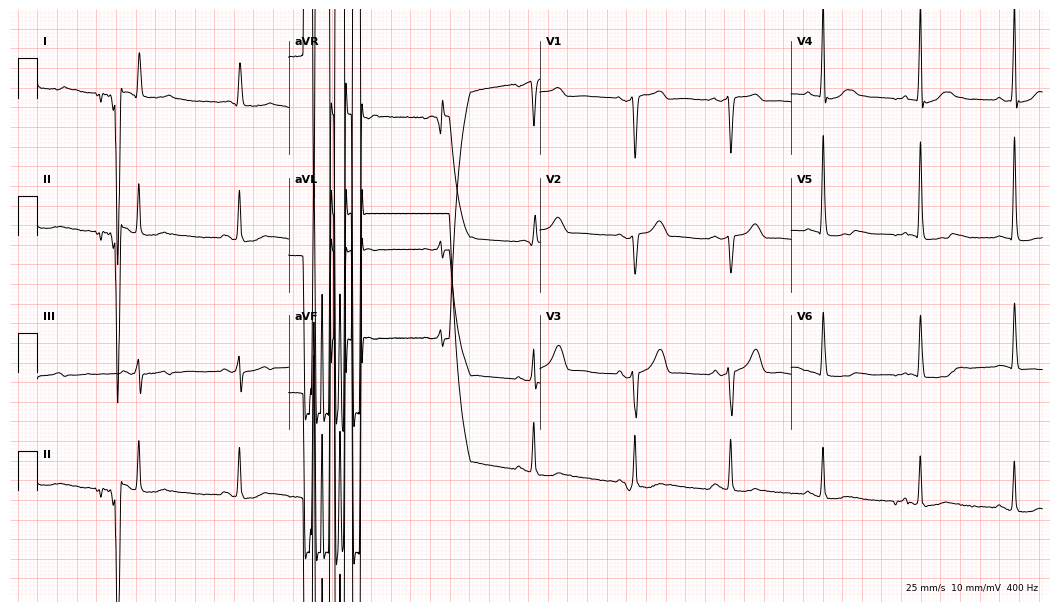
12-lead ECG from a 79-year-old female patient (10.2-second recording at 400 Hz). No first-degree AV block, right bundle branch block, left bundle branch block, sinus bradycardia, atrial fibrillation or sinus tachycardia recorded for this tracing. Findings outside these six are not listed.